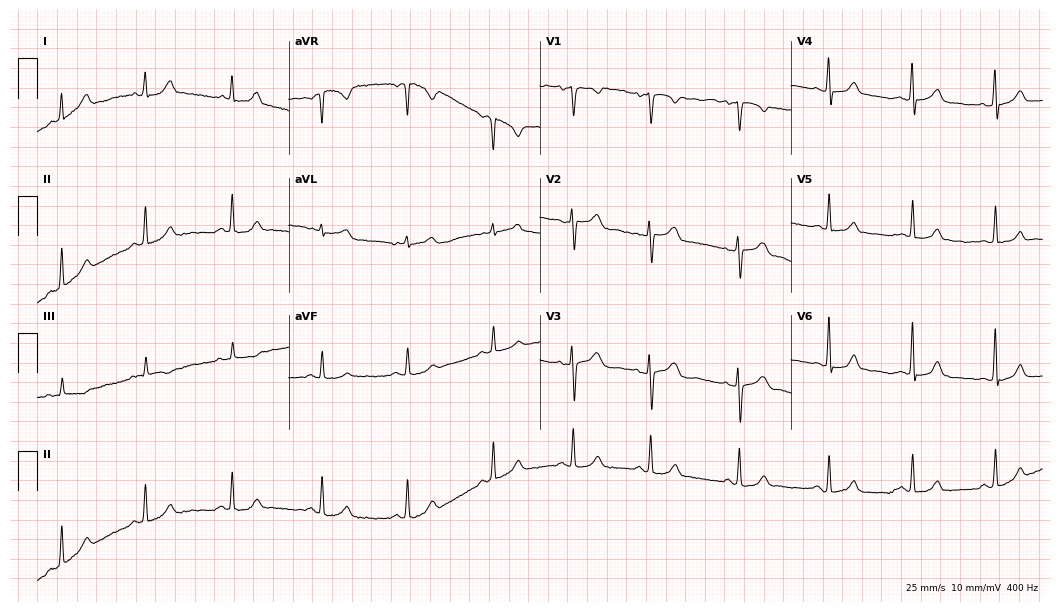
Resting 12-lead electrocardiogram. Patient: a female, 37 years old. Read as a normal ECG.